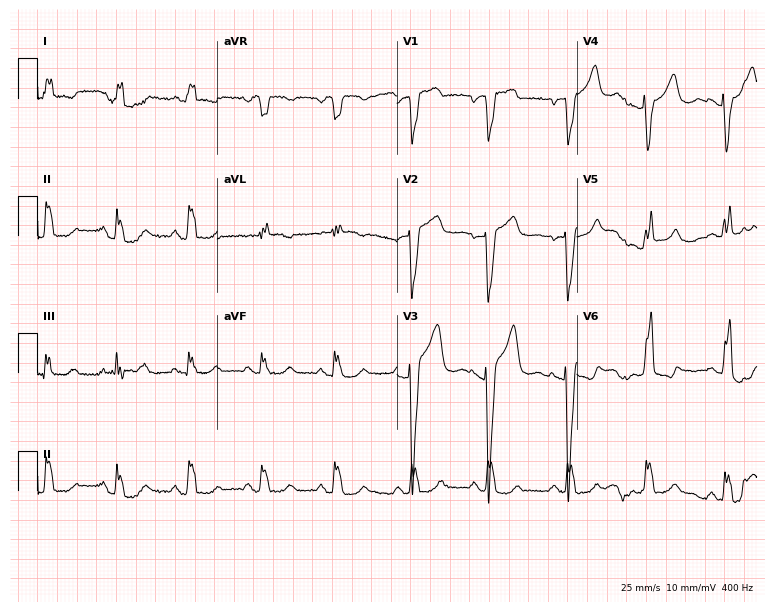
12-lead ECG from a woman, 78 years old. Shows left bundle branch block (LBBB).